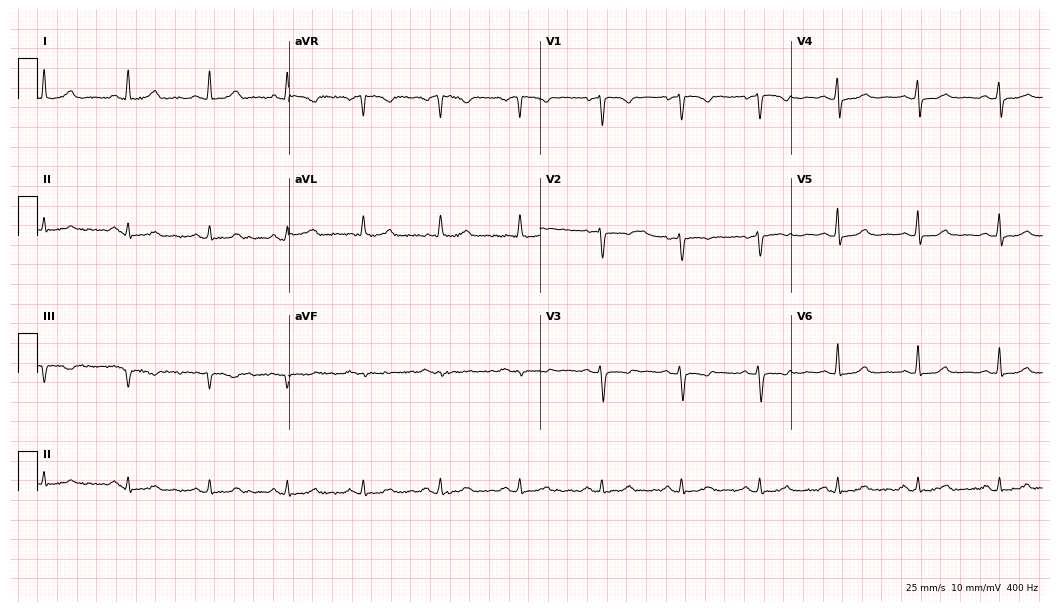
12-lead ECG (10.2-second recording at 400 Hz) from a 65-year-old female. Labelled as a normal ECG.